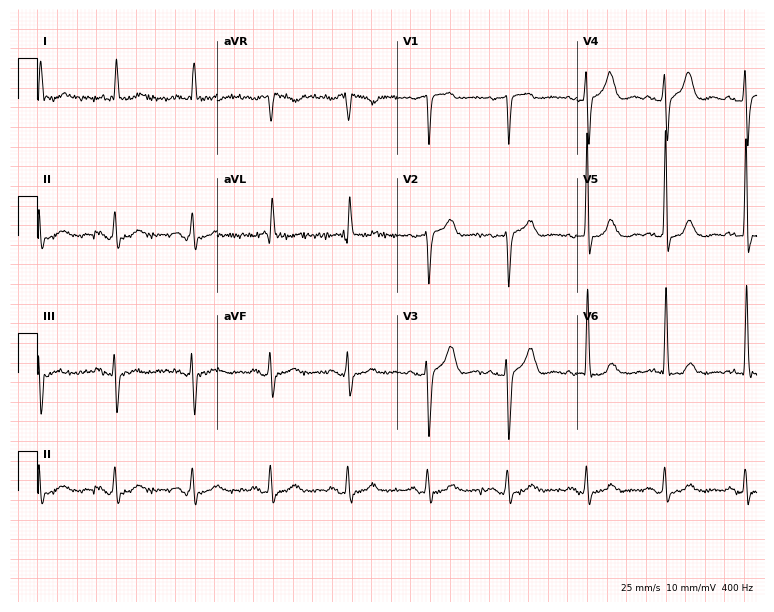
12-lead ECG from a female patient, 84 years old. Recorded interpretation: within normal limits.